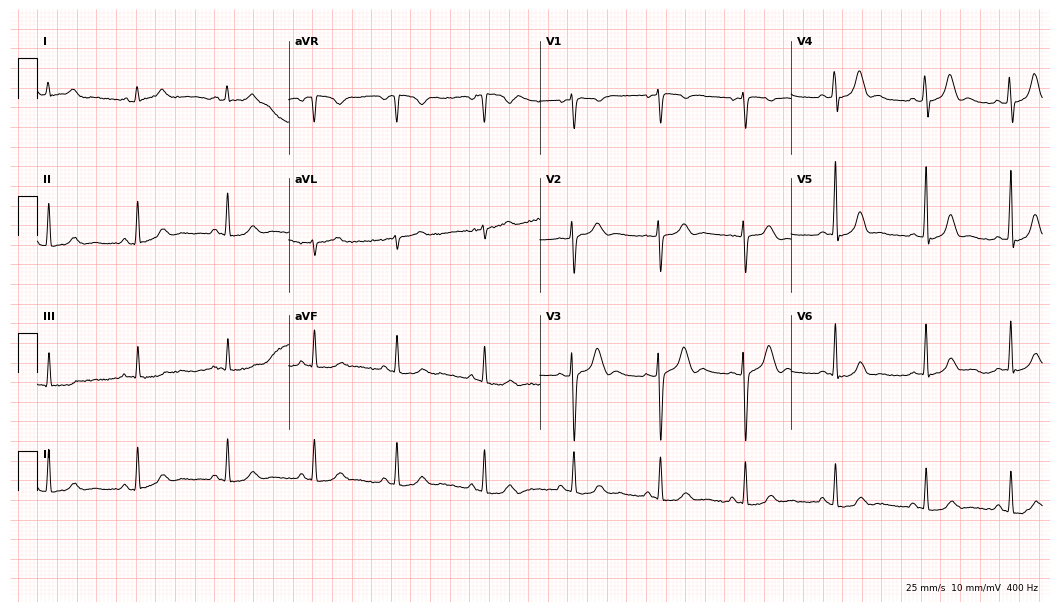
Standard 12-lead ECG recorded from a 33-year-old female patient. None of these six findings is recorded: first-degree AV block, right bundle branch block, left bundle branch block, sinus bradycardia, atrial fibrillation, sinus tachycardia.